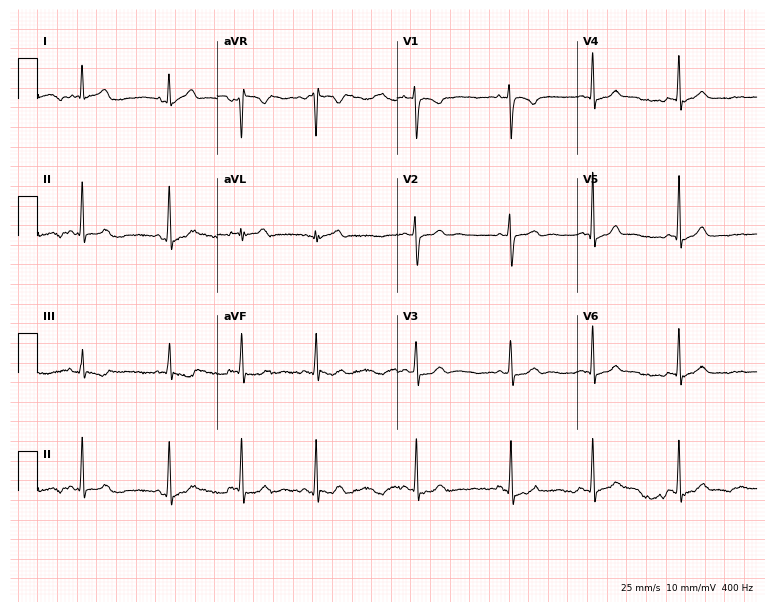
Standard 12-lead ECG recorded from a female, 22 years old. Read as a normal ECG.